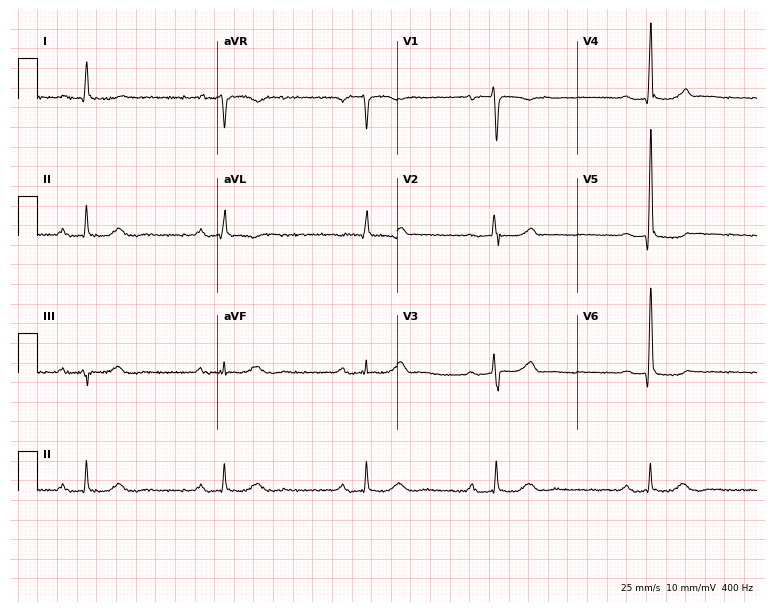
ECG (7.3-second recording at 400 Hz) — a 75-year-old female. Findings include sinus bradycardia (a sinus rate of 50 beats per minute or less).